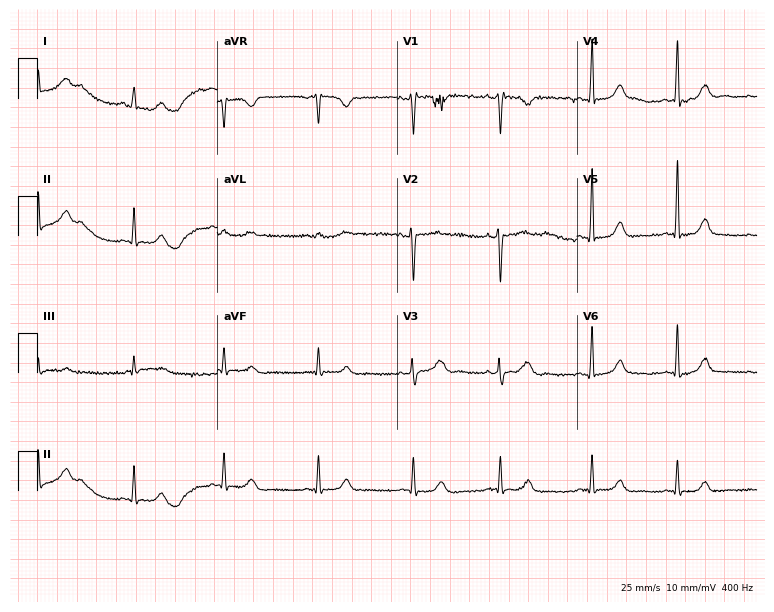
Standard 12-lead ECG recorded from a 33-year-old female patient. None of these six findings is recorded: first-degree AV block, right bundle branch block, left bundle branch block, sinus bradycardia, atrial fibrillation, sinus tachycardia.